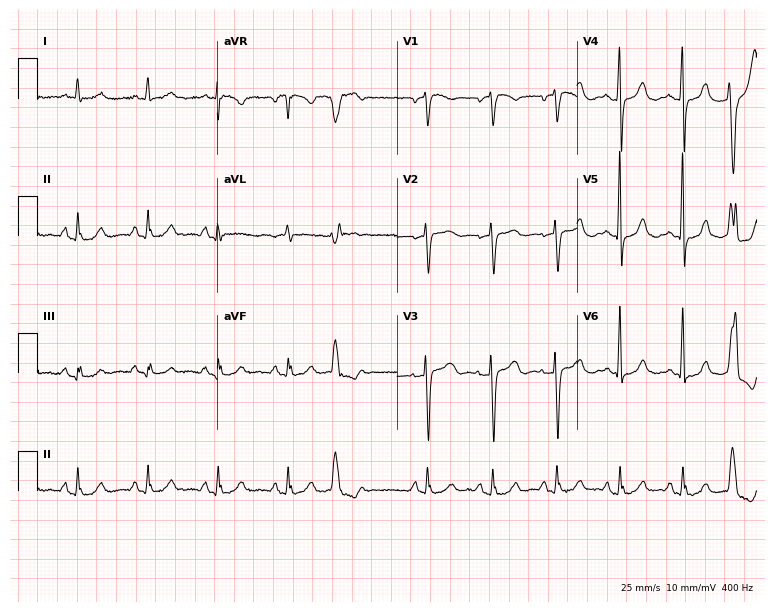
Standard 12-lead ECG recorded from a 72-year-old woman. Read as a normal ECG.